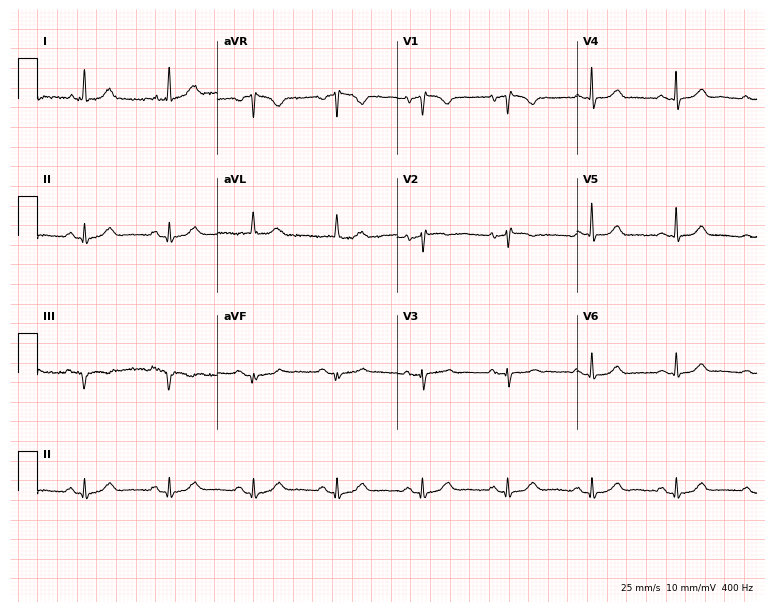
12-lead ECG from a woman, 82 years old (7.3-second recording at 400 Hz). Recorded interpretation: within normal limits.